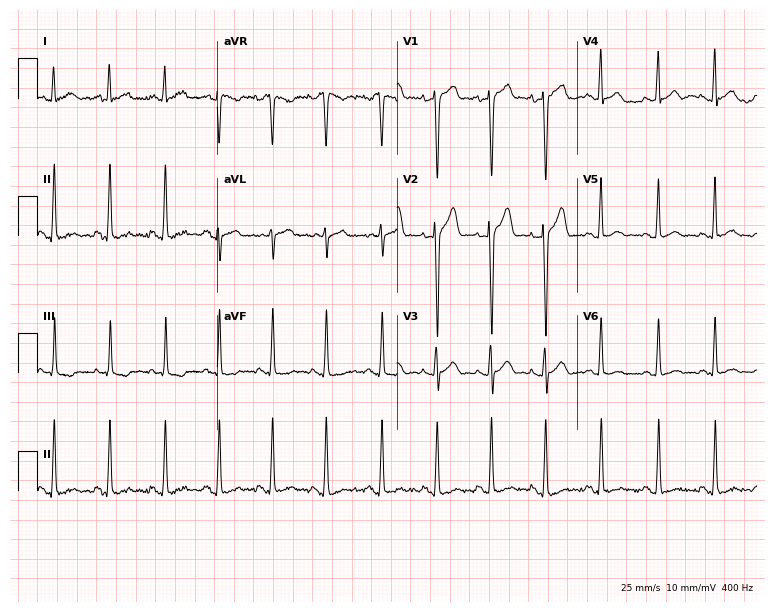
Standard 12-lead ECG recorded from a 24-year-old male patient. The tracing shows sinus tachycardia (a sinus rate of 100 beats per minute or more).